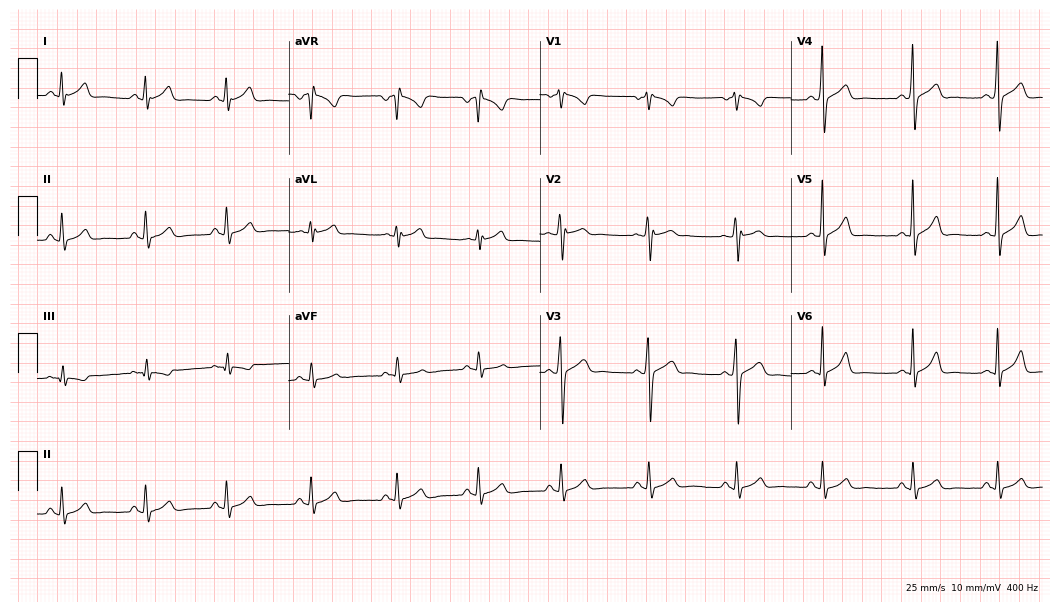
12-lead ECG (10.2-second recording at 400 Hz) from a 20-year-old man. Screened for six findings — first-degree AV block, right bundle branch block (RBBB), left bundle branch block (LBBB), sinus bradycardia, atrial fibrillation (AF), sinus tachycardia — none is recorded.